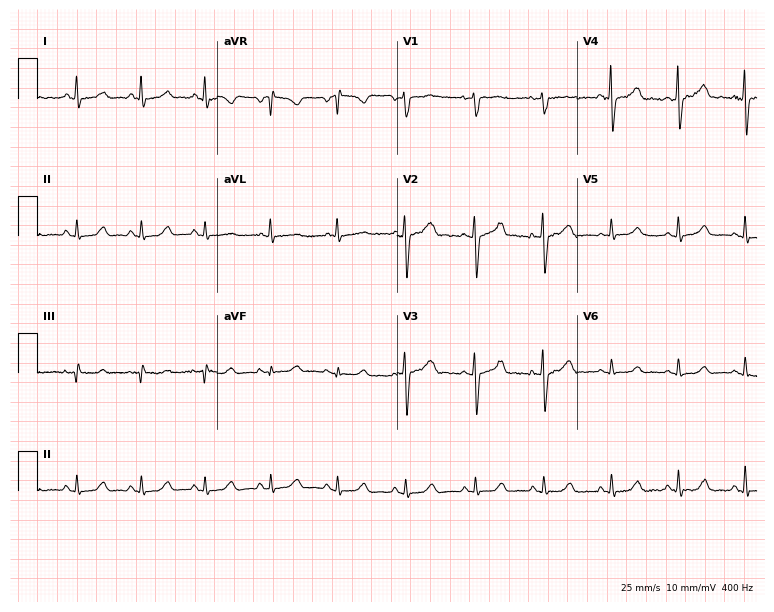
12-lead ECG from a 49-year-old female patient. Labelled as a normal ECG.